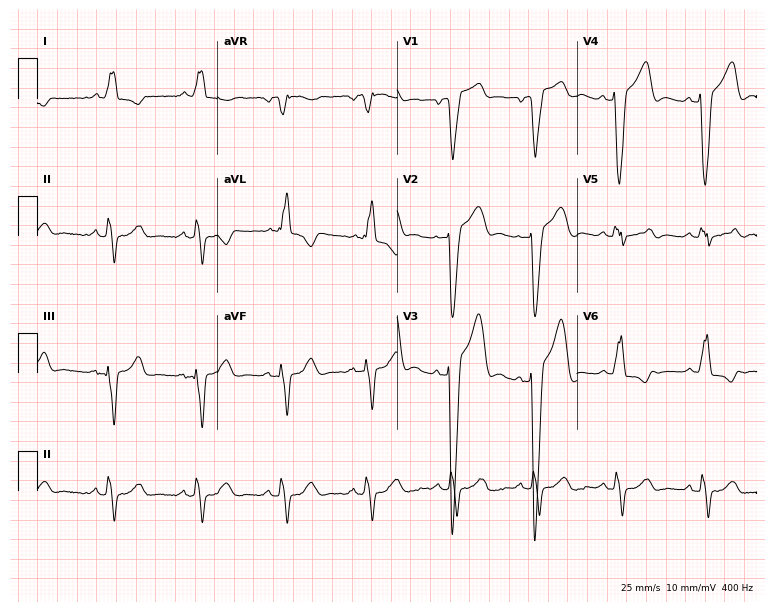
12-lead ECG from a 71-year-old male patient. Shows left bundle branch block.